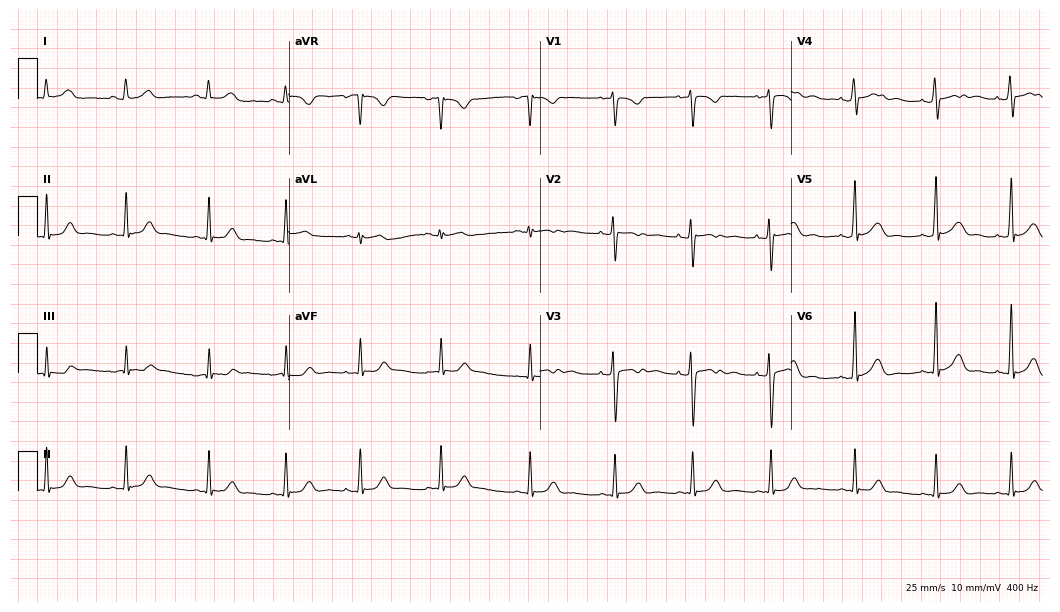
ECG — a woman, 20 years old. Labelled as a normal ECG.